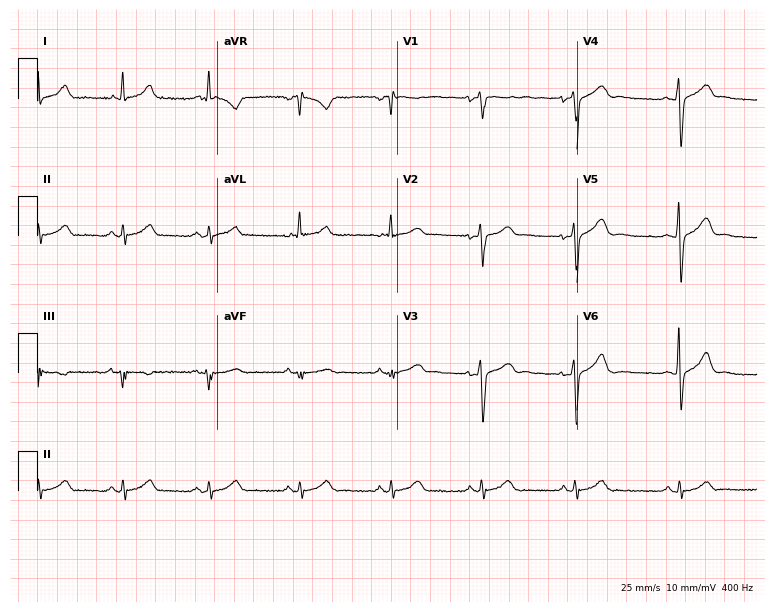
ECG (7.3-second recording at 400 Hz) — a male patient, 61 years old. Screened for six findings — first-degree AV block, right bundle branch block, left bundle branch block, sinus bradycardia, atrial fibrillation, sinus tachycardia — none is recorded. Only these six findings were labelled.